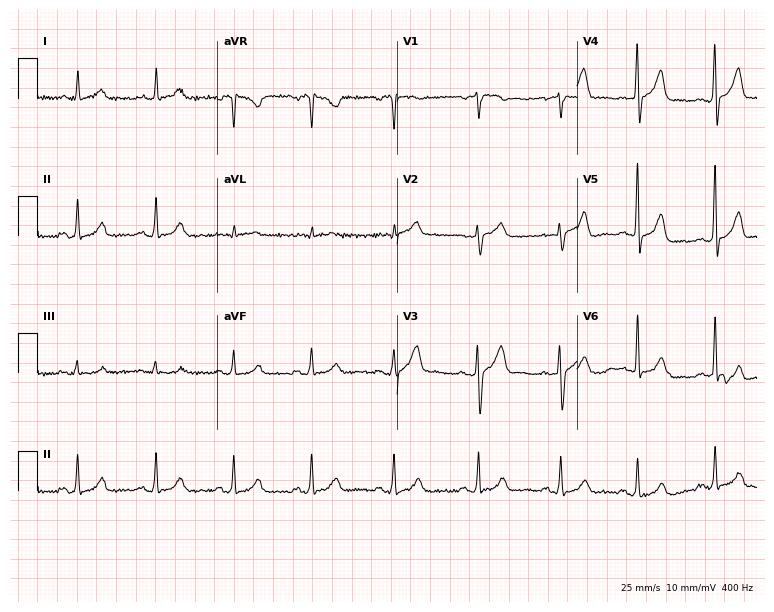
12-lead ECG from a 45-year-old male (7.3-second recording at 400 Hz). Recorded interpretation: within normal limits.